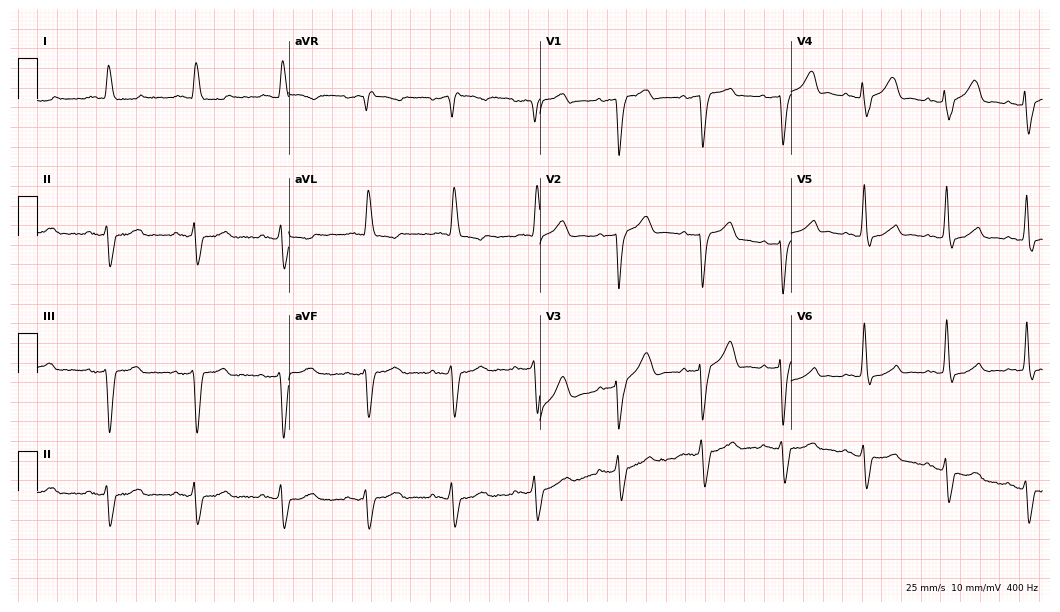
Standard 12-lead ECG recorded from an 81-year-old male patient. None of these six findings is recorded: first-degree AV block, right bundle branch block (RBBB), left bundle branch block (LBBB), sinus bradycardia, atrial fibrillation (AF), sinus tachycardia.